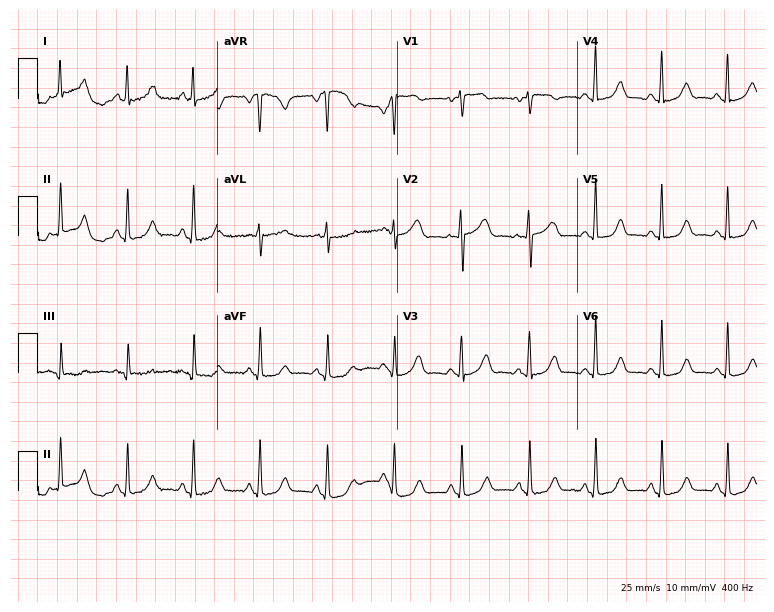
Resting 12-lead electrocardiogram. Patient: a female, 53 years old. None of these six findings is recorded: first-degree AV block, right bundle branch block (RBBB), left bundle branch block (LBBB), sinus bradycardia, atrial fibrillation (AF), sinus tachycardia.